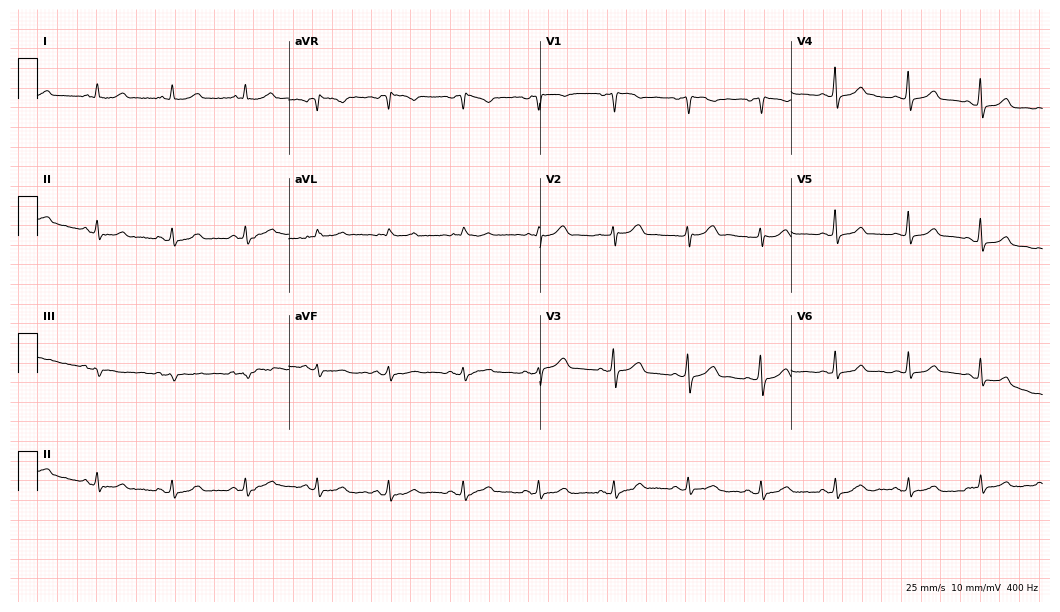
ECG (10.2-second recording at 400 Hz) — a 49-year-old female patient. Labelled as a normal ECG.